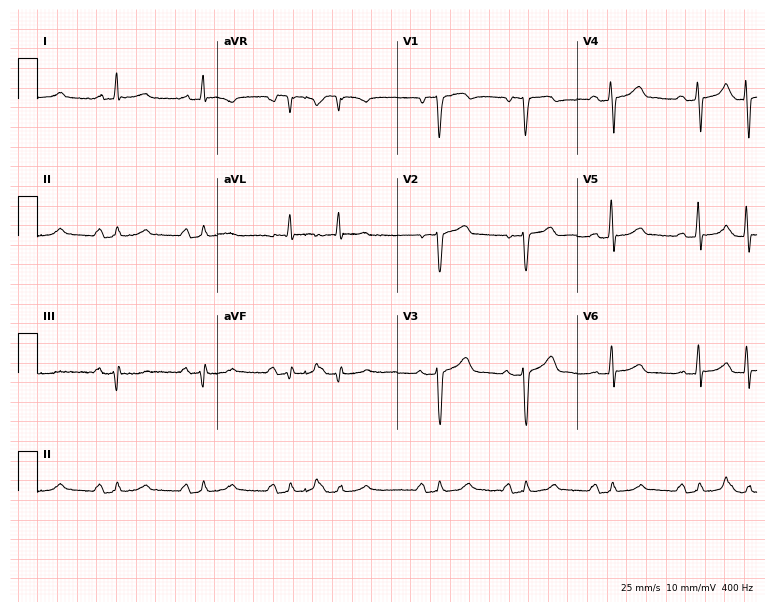
Electrocardiogram (7.3-second recording at 400 Hz), a male patient, 62 years old. Of the six screened findings (first-degree AV block, right bundle branch block, left bundle branch block, sinus bradycardia, atrial fibrillation, sinus tachycardia), none is recorded.